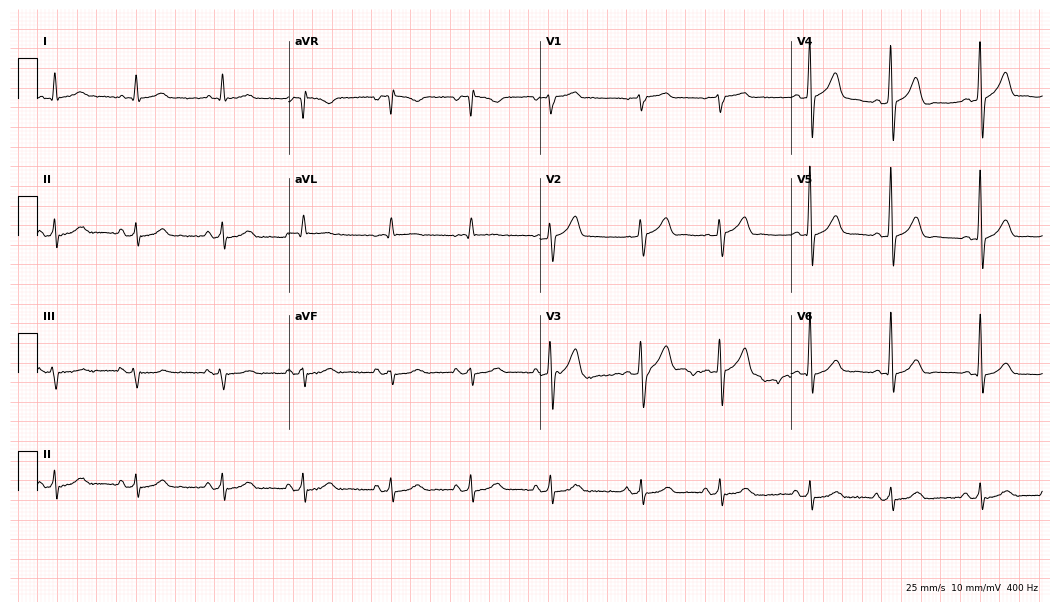
12-lead ECG from a 66-year-old man (10.2-second recording at 400 Hz). Recorded interpretation: within normal limits.